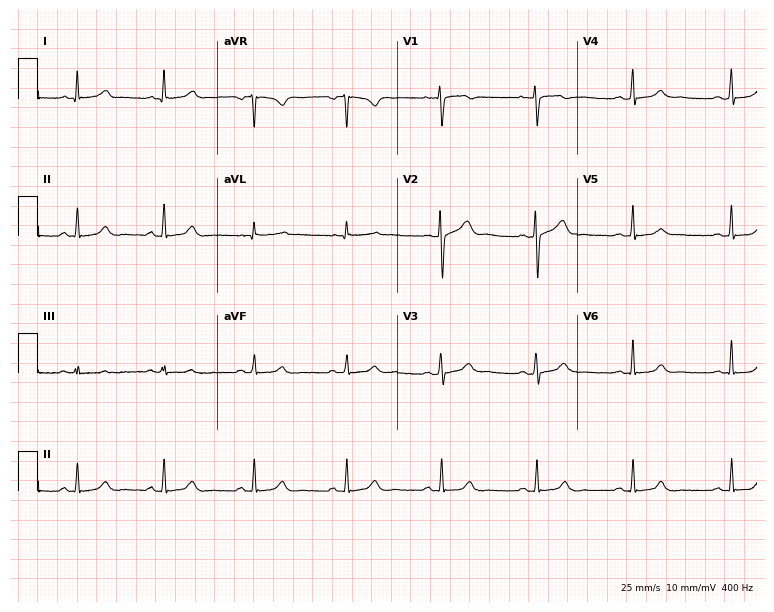
Electrocardiogram, a 31-year-old female. Overall reading on record: normal ECG.